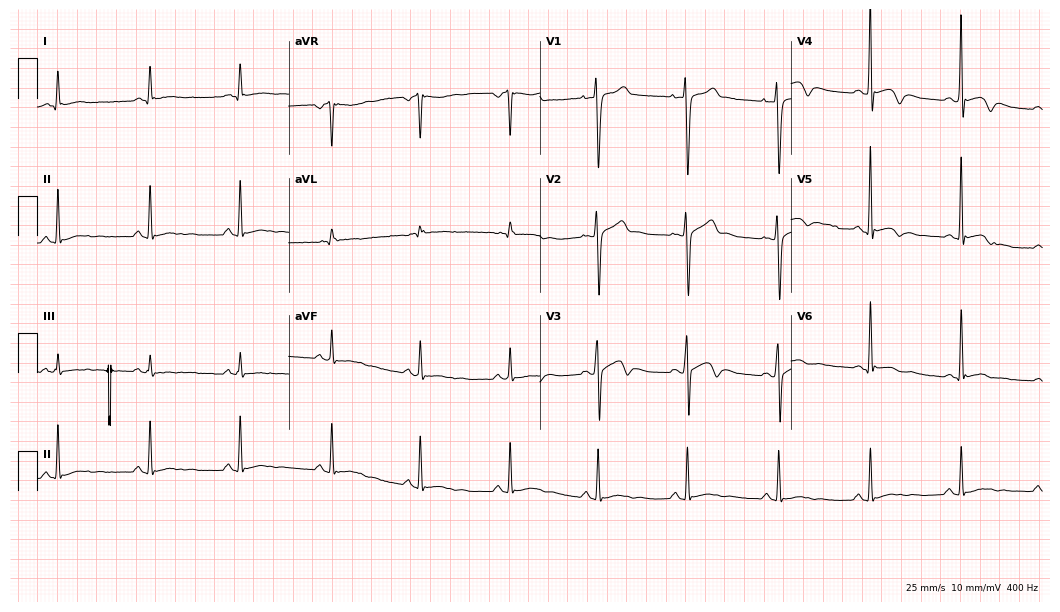
Resting 12-lead electrocardiogram (10.2-second recording at 400 Hz). Patient: a 17-year-old male. None of these six findings is recorded: first-degree AV block, right bundle branch block (RBBB), left bundle branch block (LBBB), sinus bradycardia, atrial fibrillation (AF), sinus tachycardia. Other findings, if any, are not listed.